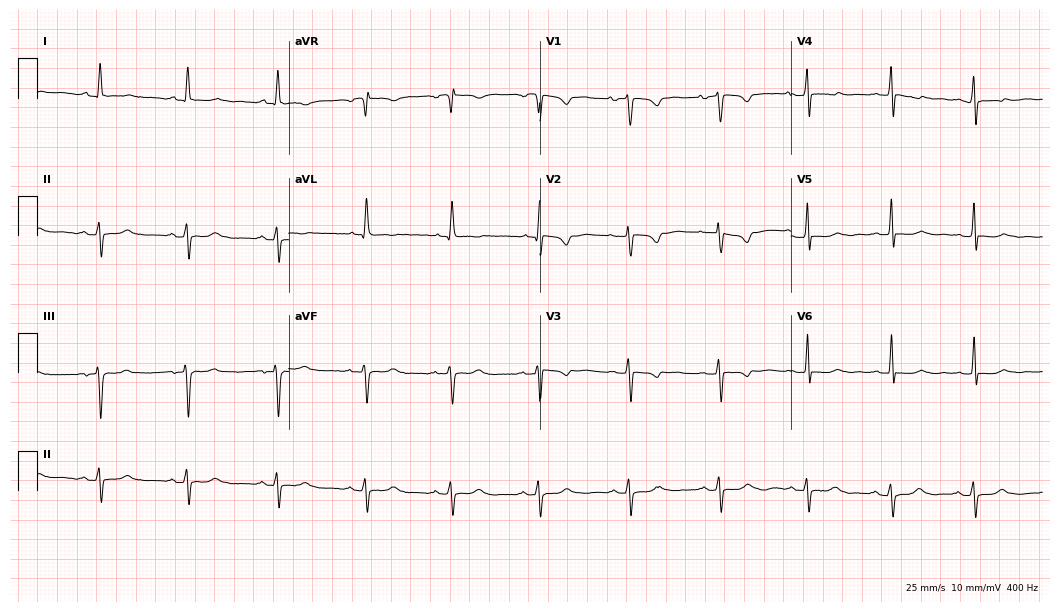
Electrocardiogram (10.2-second recording at 400 Hz), a 17-year-old female patient. Of the six screened findings (first-degree AV block, right bundle branch block, left bundle branch block, sinus bradycardia, atrial fibrillation, sinus tachycardia), none is recorded.